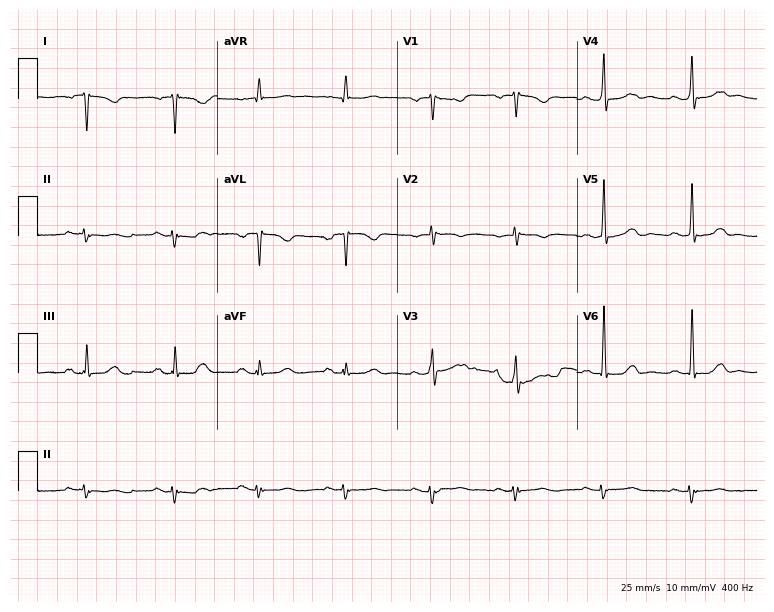
12-lead ECG from a female, 57 years old. Screened for six findings — first-degree AV block, right bundle branch block, left bundle branch block, sinus bradycardia, atrial fibrillation, sinus tachycardia — none is recorded. Findings outside these six are not listed.